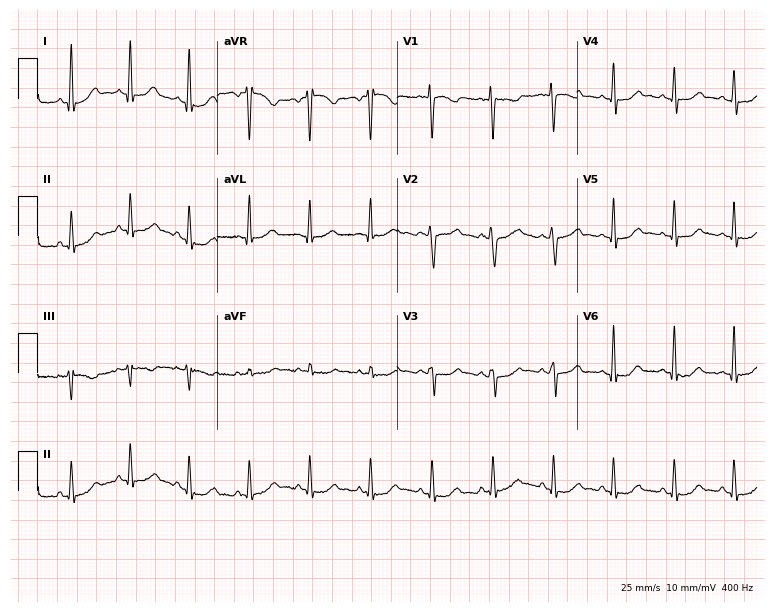
12-lead ECG from a woman, 36 years old. No first-degree AV block, right bundle branch block, left bundle branch block, sinus bradycardia, atrial fibrillation or sinus tachycardia recorded for this tracing.